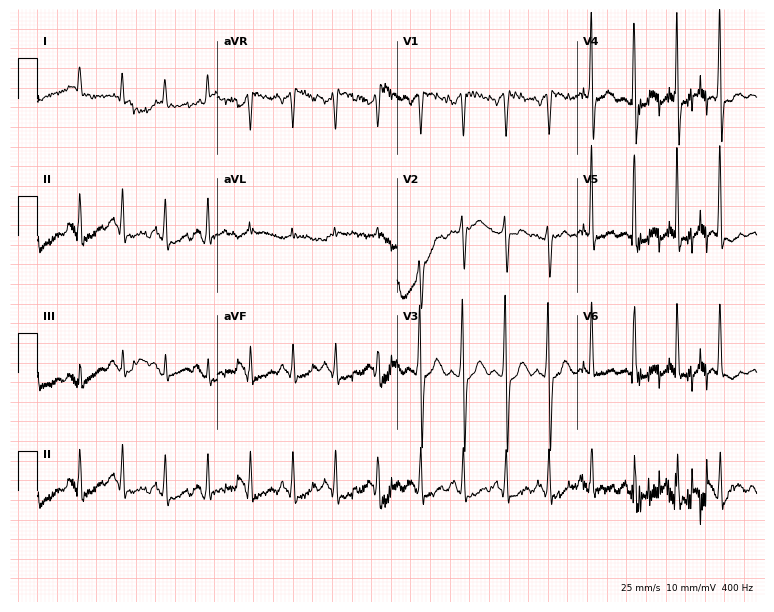
Resting 12-lead electrocardiogram. Patient: a man, 60 years old. None of these six findings is recorded: first-degree AV block, right bundle branch block, left bundle branch block, sinus bradycardia, atrial fibrillation, sinus tachycardia. Only these six findings were labelled.